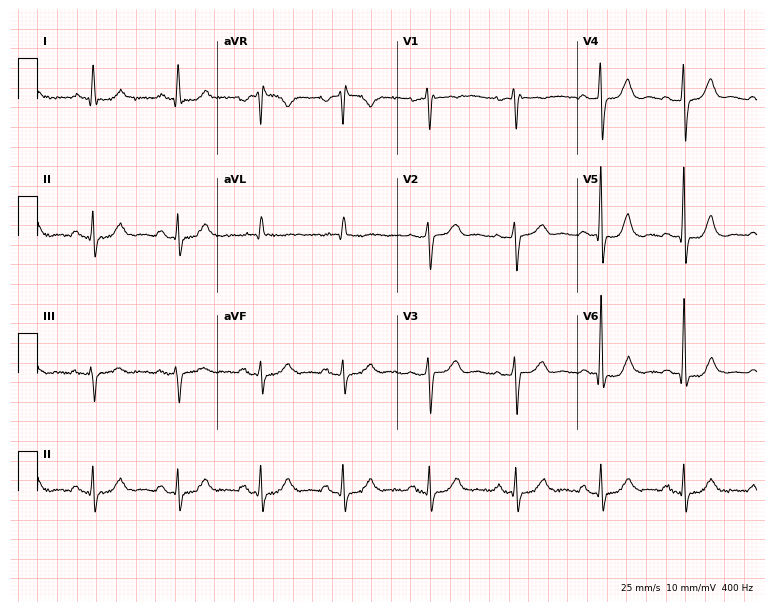
Resting 12-lead electrocardiogram (7.3-second recording at 400 Hz). Patient: a 71-year-old female. None of these six findings is recorded: first-degree AV block, right bundle branch block, left bundle branch block, sinus bradycardia, atrial fibrillation, sinus tachycardia. Findings outside these six are not listed.